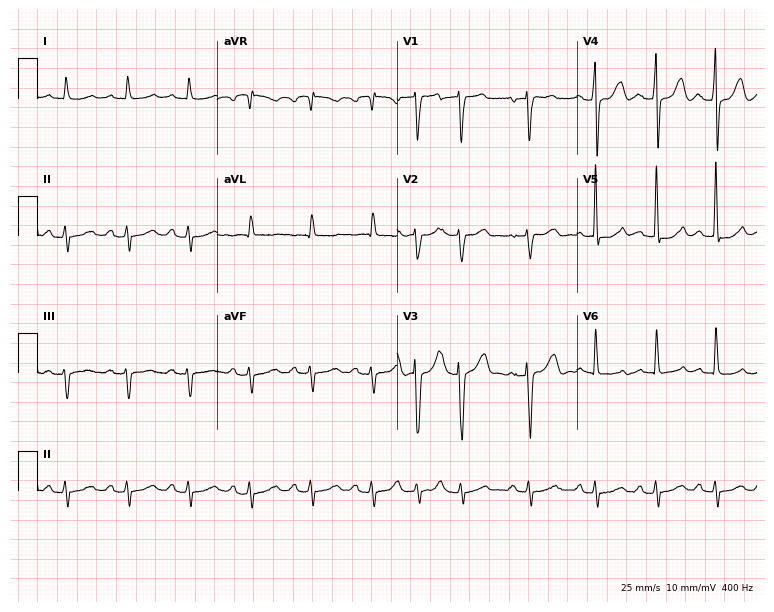
Resting 12-lead electrocardiogram. Patient: an 85-year-old male. None of these six findings is recorded: first-degree AV block, right bundle branch block, left bundle branch block, sinus bradycardia, atrial fibrillation, sinus tachycardia.